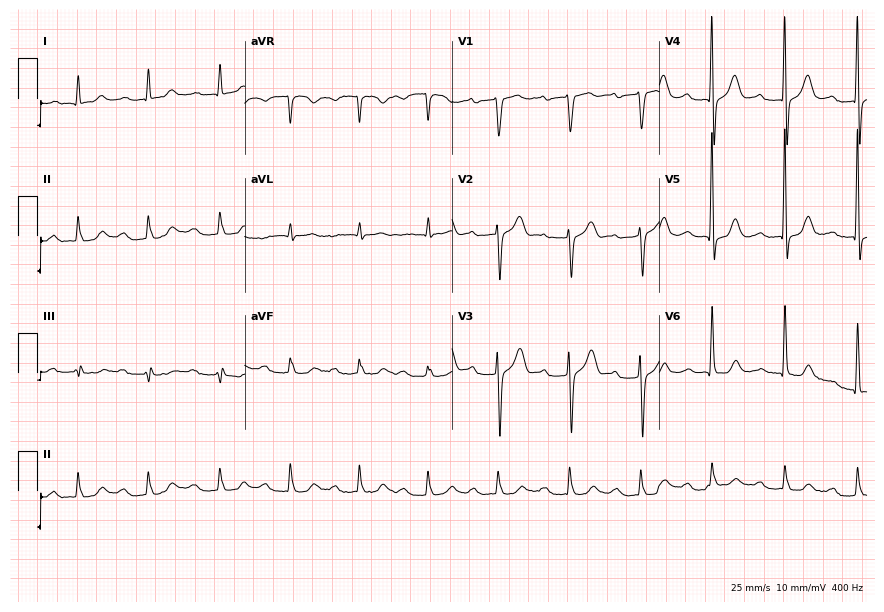
12-lead ECG from a 79-year-old male. Shows first-degree AV block.